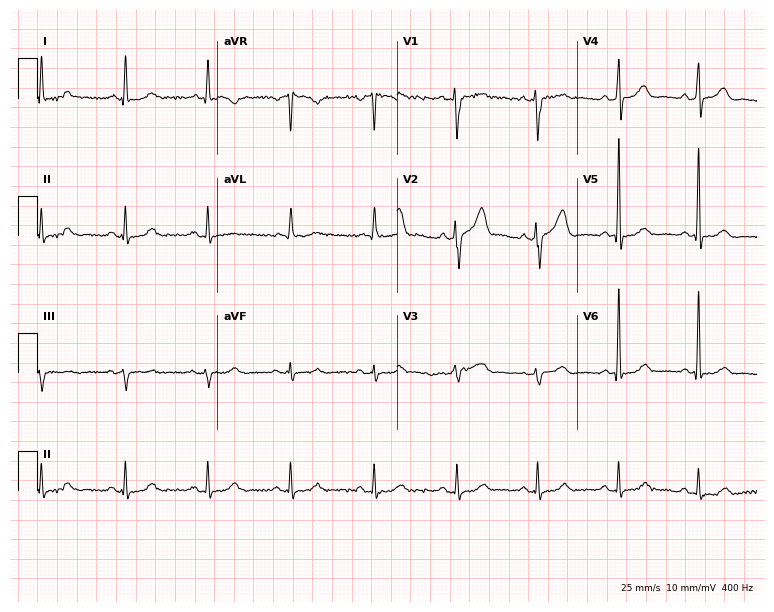
Electrocardiogram (7.3-second recording at 400 Hz), a 75-year-old male. Overall reading on record: normal ECG.